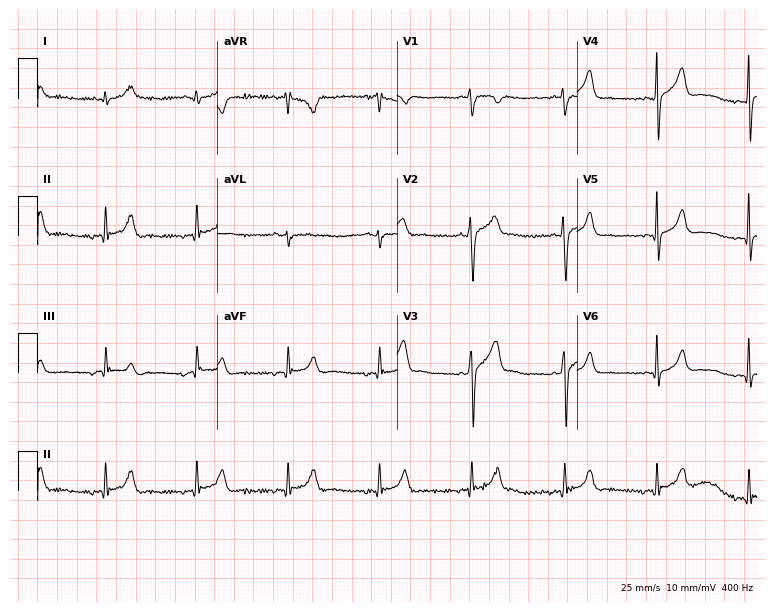
Electrocardiogram, a male patient, 49 years old. Overall reading on record: normal ECG.